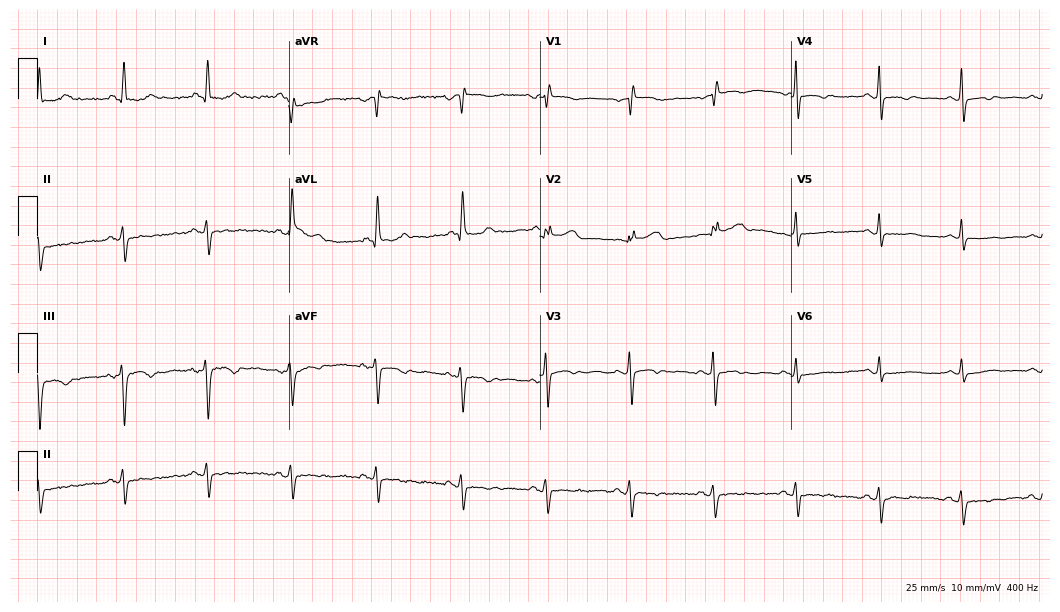
Standard 12-lead ECG recorded from a 78-year-old woman (10.2-second recording at 400 Hz). None of these six findings is recorded: first-degree AV block, right bundle branch block, left bundle branch block, sinus bradycardia, atrial fibrillation, sinus tachycardia. Findings outside these six are not listed.